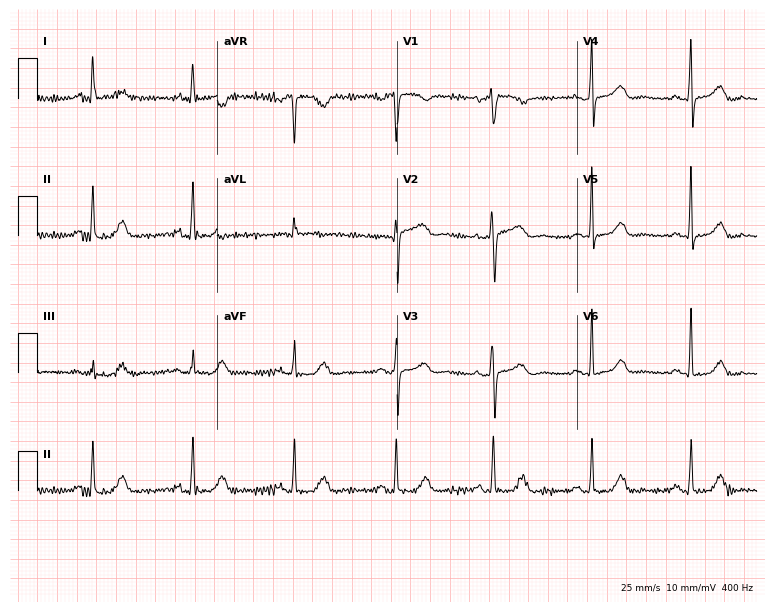
Resting 12-lead electrocardiogram. Patient: a 70-year-old female. None of these six findings is recorded: first-degree AV block, right bundle branch block, left bundle branch block, sinus bradycardia, atrial fibrillation, sinus tachycardia.